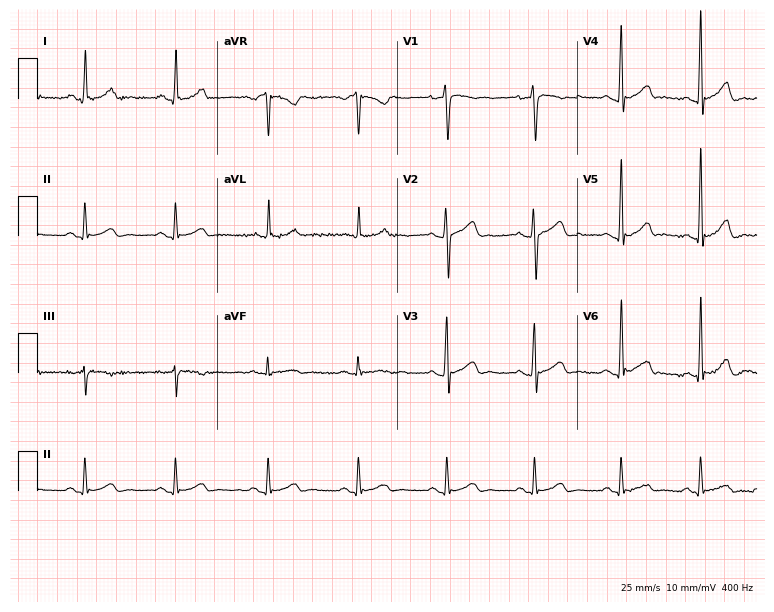
12-lead ECG (7.3-second recording at 400 Hz) from a male, 29 years old. Labelled as a normal ECG.